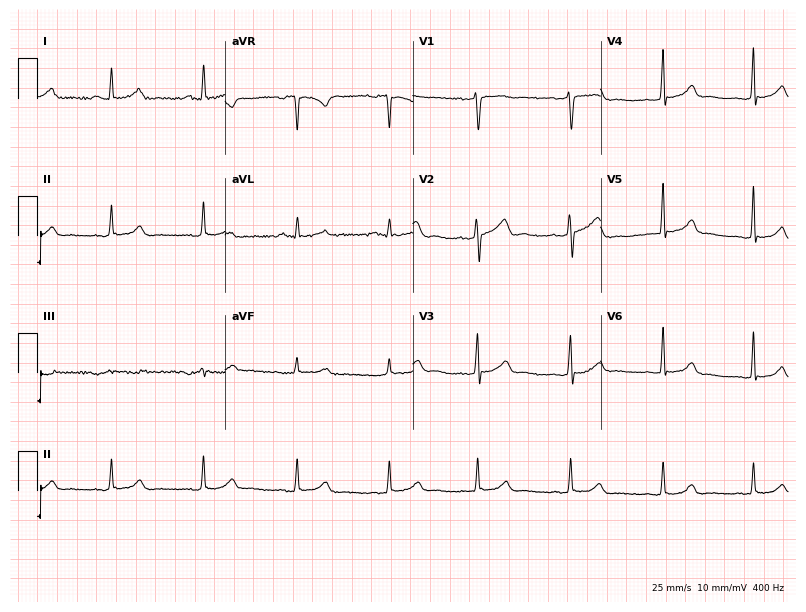
ECG — a female patient, 38 years old. Screened for six findings — first-degree AV block, right bundle branch block, left bundle branch block, sinus bradycardia, atrial fibrillation, sinus tachycardia — none is recorded. Other findings, if any, are not listed.